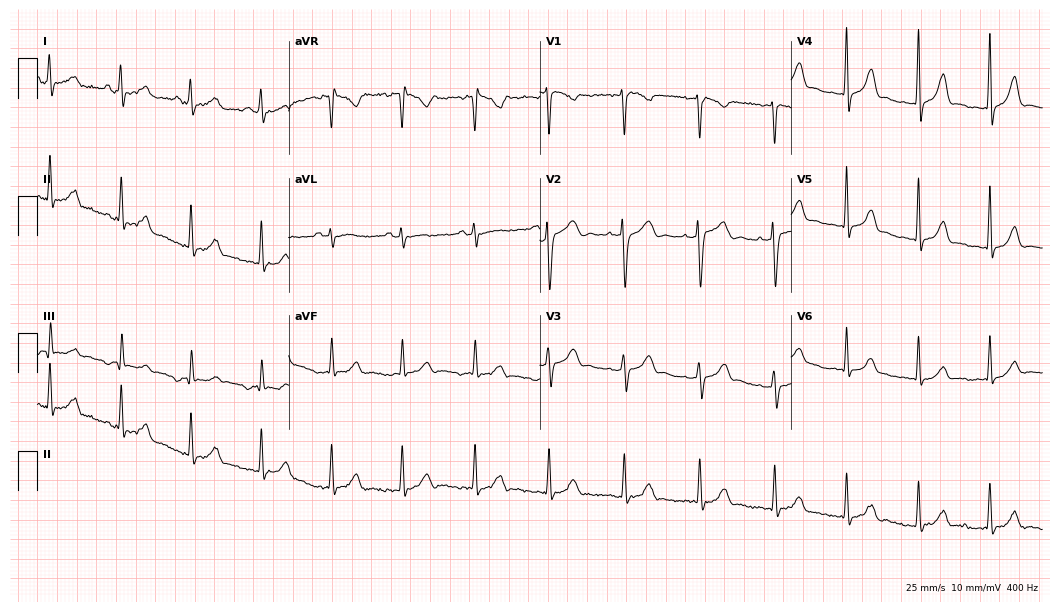
Resting 12-lead electrocardiogram. Patient: a 25-year-old woman. None of these six findings is recorded: first-degree AV block, right bundle branch block (RBBB), left bundle branch block (LBBB), sinus bradycardia, atrial fibrillation (AF), sinus tachycardia.